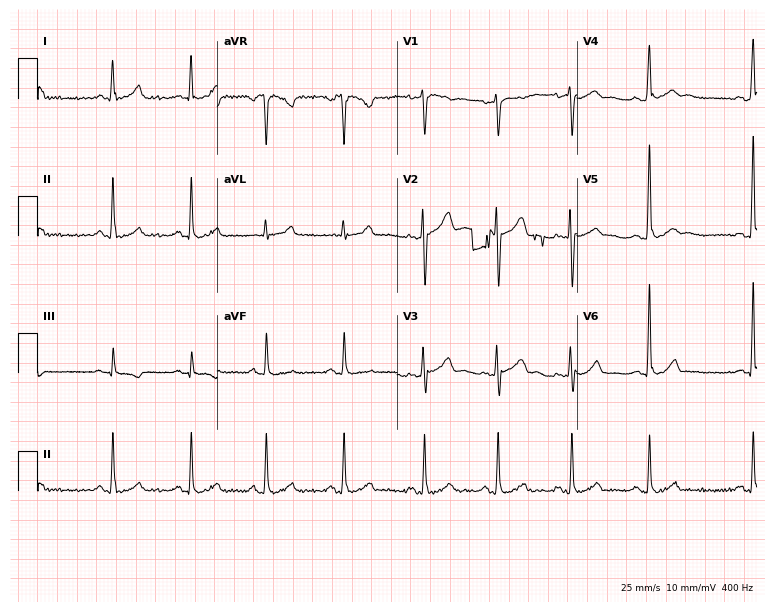
12-lead ECG from a male patient, 50 years old. Labelled as a normal ECG.